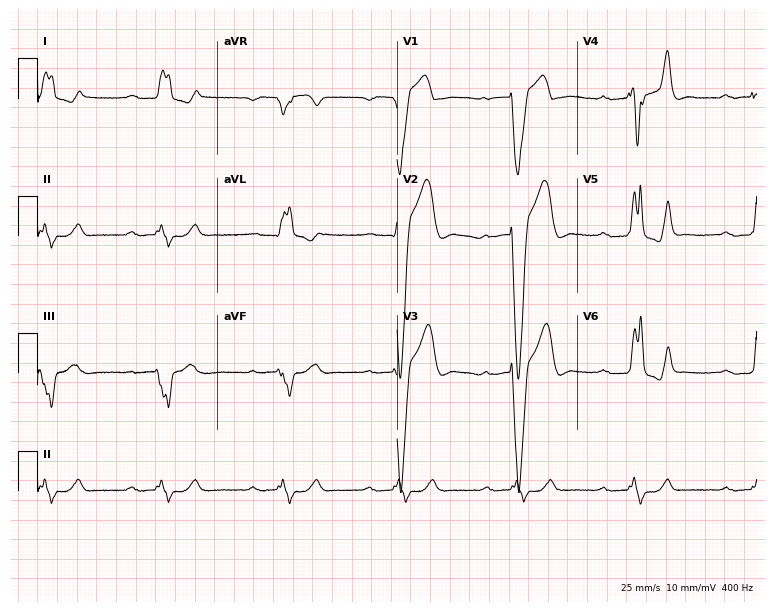
ECG (7.3-second recording at 400 Hz) — a male patient, 43 years old. Findings include first-degree AV block, left bundle branch block.